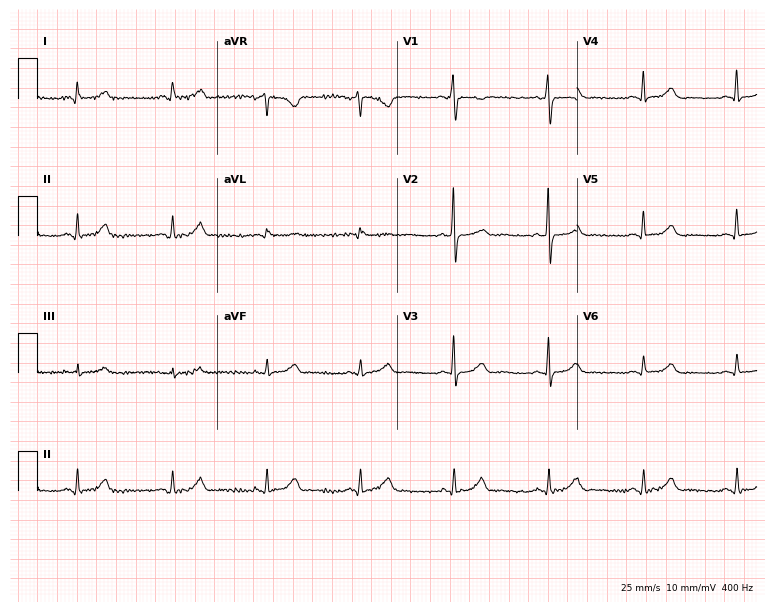
12-lead ECG from a female, 73 years old (7.3-second recording at 400 Hz). Recorded interpretation: within normal limits.